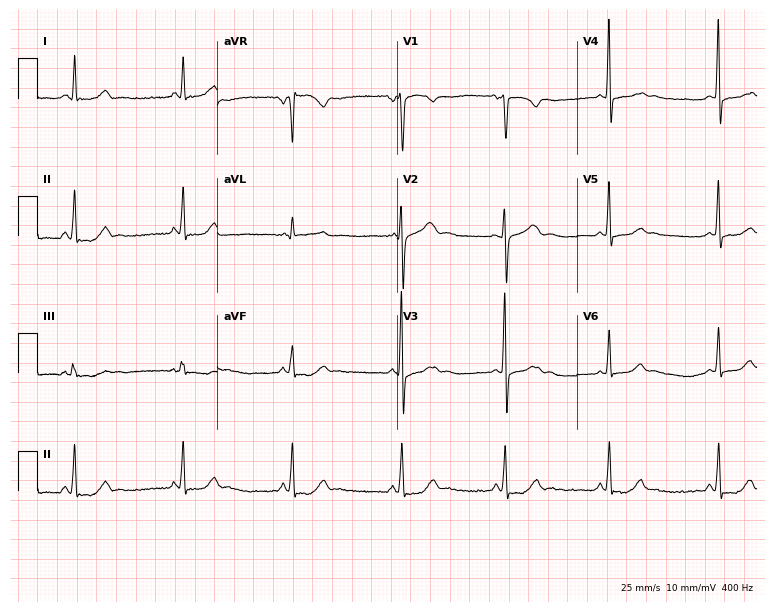
Resting 12-lead electrocardiogram. Patient: a female, 27 years old. None of these six findings is recorded: first-degree AV block, right bundle branch block, left bundle branch block, sinus bradycardia, atrial fibrillation, sinus tachycardia. Findings outside these six are not listed.